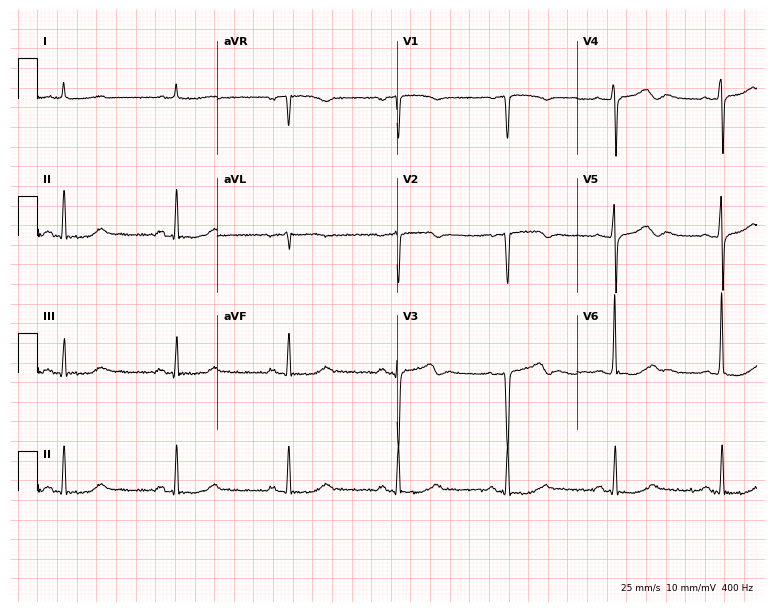
ECG (7.3-second recording at 400 Hz) — a 77-year-old man. Screened for six findings — first-degree AV block, right bundle branch block, left bundle branch block, sinus bradycardia, atrial fibrillation, sinus tachycardia — none is recorded. Other findings, if any, are not listed.